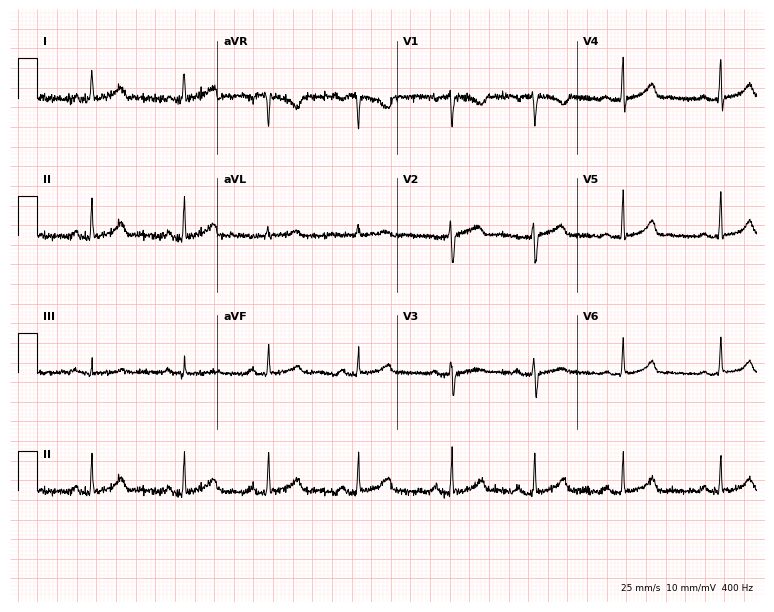
ECG (7.3-second recording at 400 Hz) — a 44-year-old female. Labelled as a normal ECG.